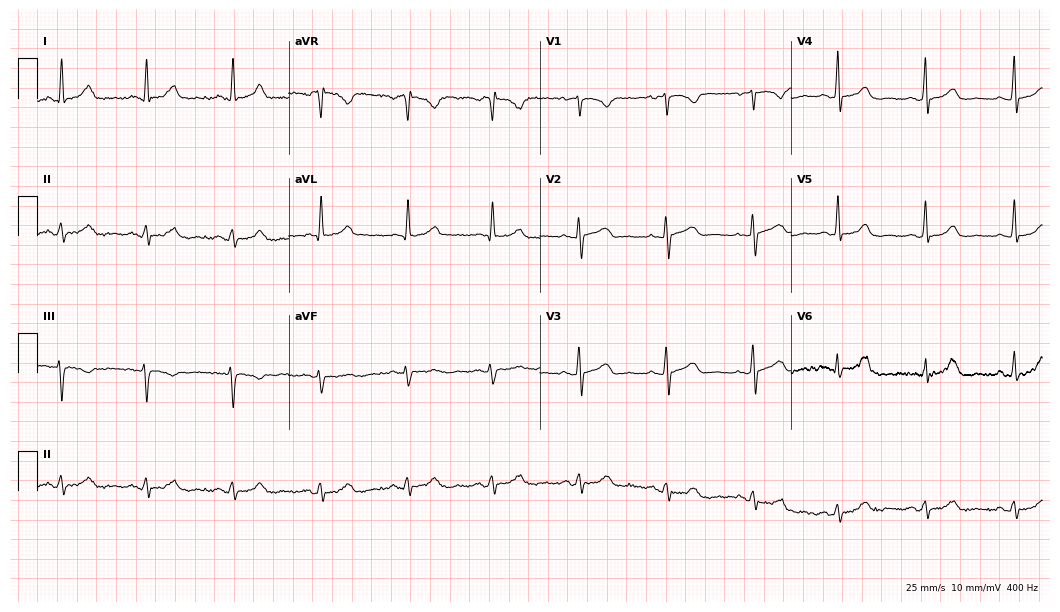
Standard 12-lead ECG recorded from a 44-year-old female patient. Read as a normal ECG.